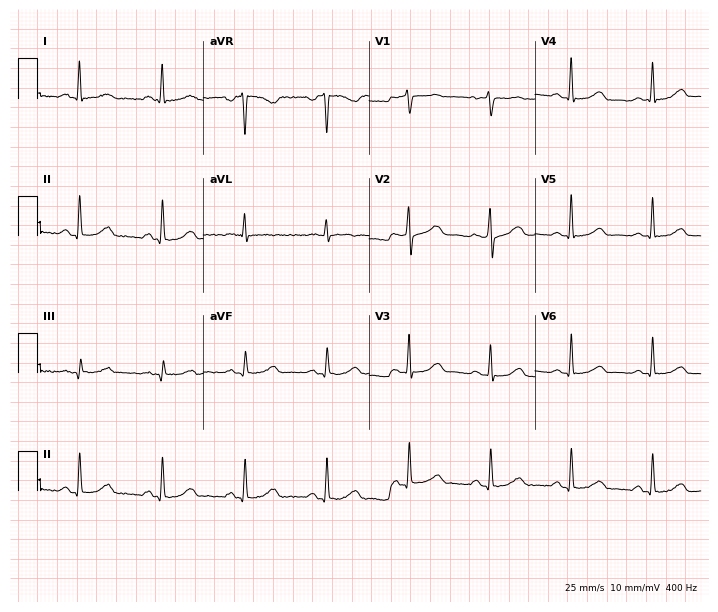
12-lead ECG from a female, 59 years old. Labelled as a normal ECG.